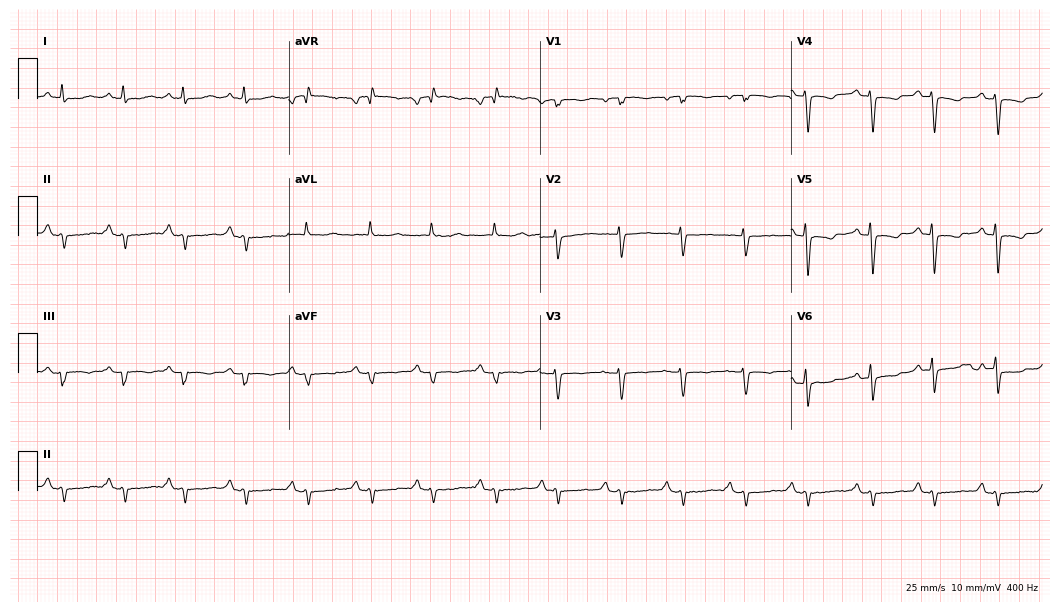
12-lead ECG (10.2-second recording at 400 Hz) from a female, 70 years old. Screened for six findings — first-degree AV block, right bundle branch block, left bundle branch block, sinus bradycardia, atrial fibrillation, sinus tachycardia — none is recorded.